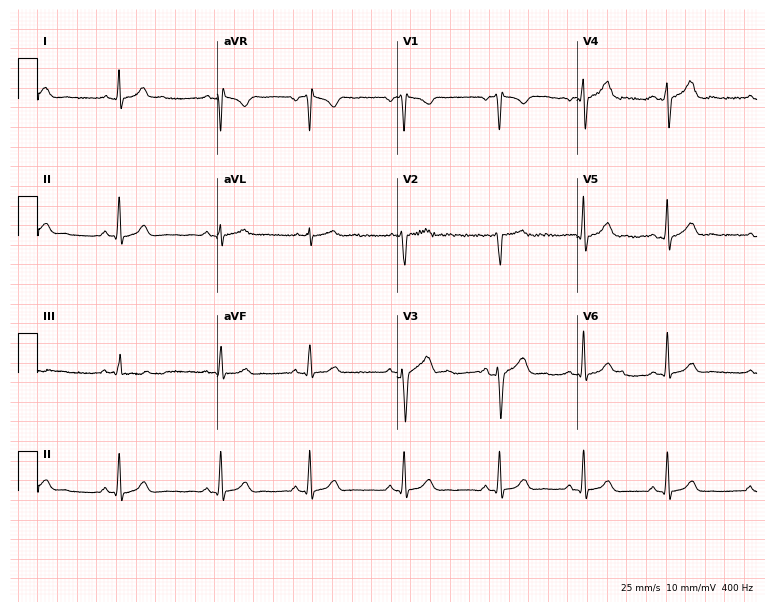
ECG — a 27-year-old male. Screened for six findings — first-degree AV block, right bundle branch block, left bundle branch block, sinus bradycardia, atrial fibrillation, sinus tachycardia — none is recorded. Other findings, if any, are not listed.